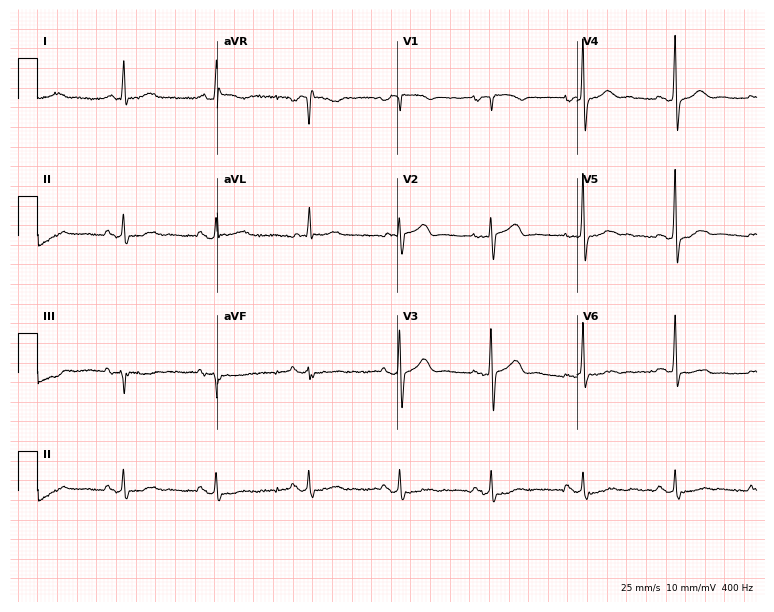
ECG (7.3-second recording at 400 Hz) — a 70-year-old male. Screened for six findings — first-degree AV block, right bundle branch block, left bundle branch block, sinus bradycardia, atrial fibrillation, sinus tachycardia — none is recorded.